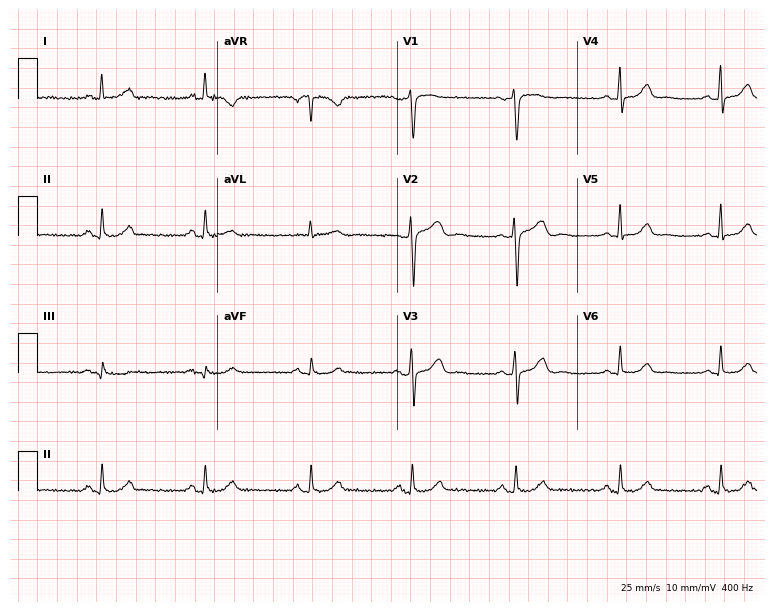
ECG (7.3-second recording at 400 Hz) — a woman, 58 years old. Labelled as a normal ECG.